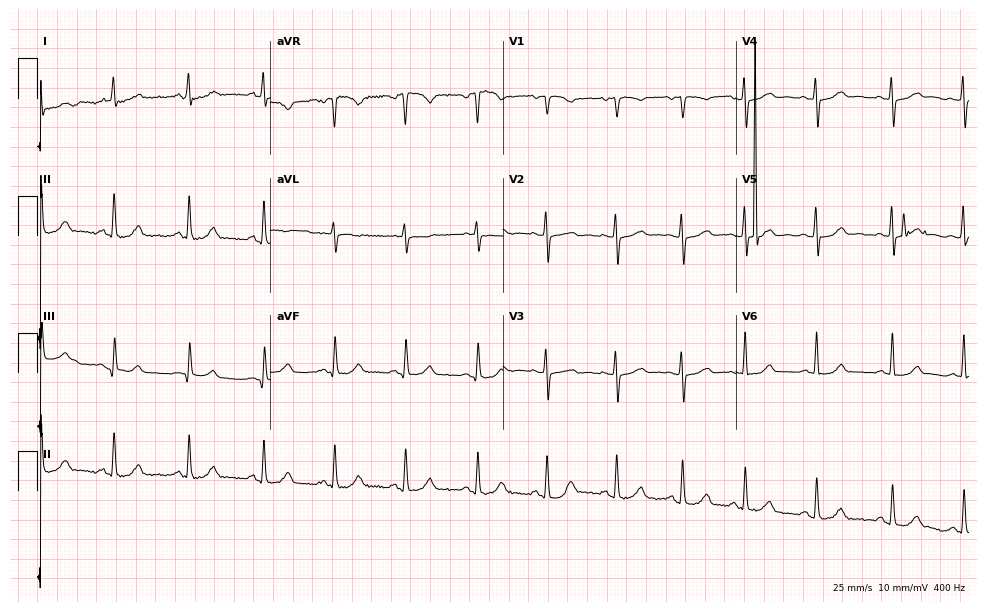
ECG (9.5-second recording at 400 Hz) — a 38-year-old woman. Labelled as a normal ECG.